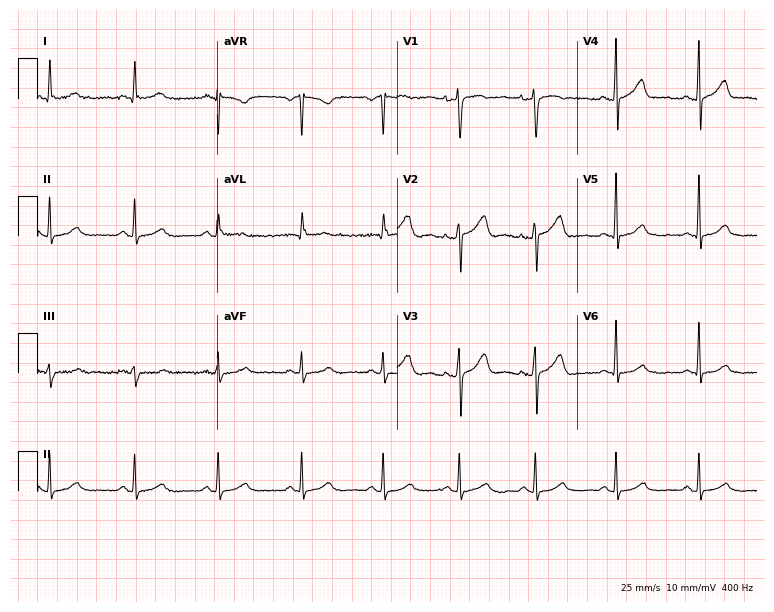
Resting 12-lead electrocardiogram (7.3-second recording at 400 Hz). Patient: a woman, 64 years old. Read as a normal ECG.